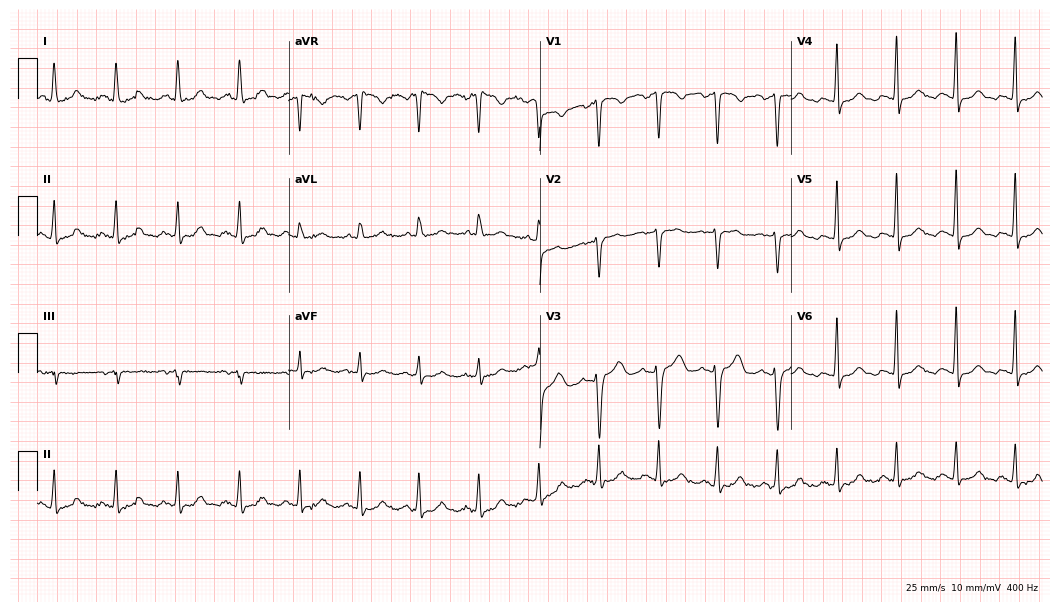
12-lead ECG from a 46-year-old woman (10.2-second recording at 400 Hz). Recorded interpretation: within normal limits.